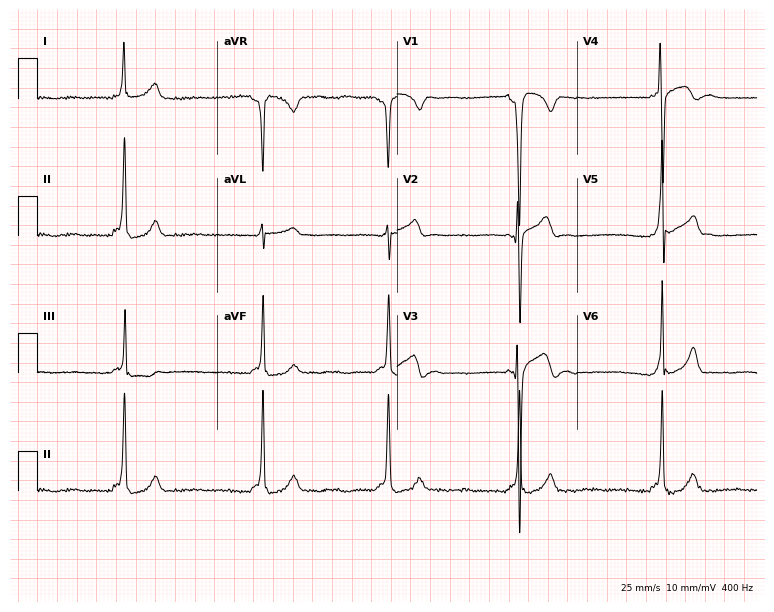
ECG (7.3-second recording at 400 Hz) — an 18-year-old man. Screened for six findings — first-degree AV block, right bundle branch block (RBBB), left bundle branch block (LBBB), sinus bradycardia, atrial fibrillation (AF), sinus tachycardia — none is recorded. Other findings, if any, are not listed.